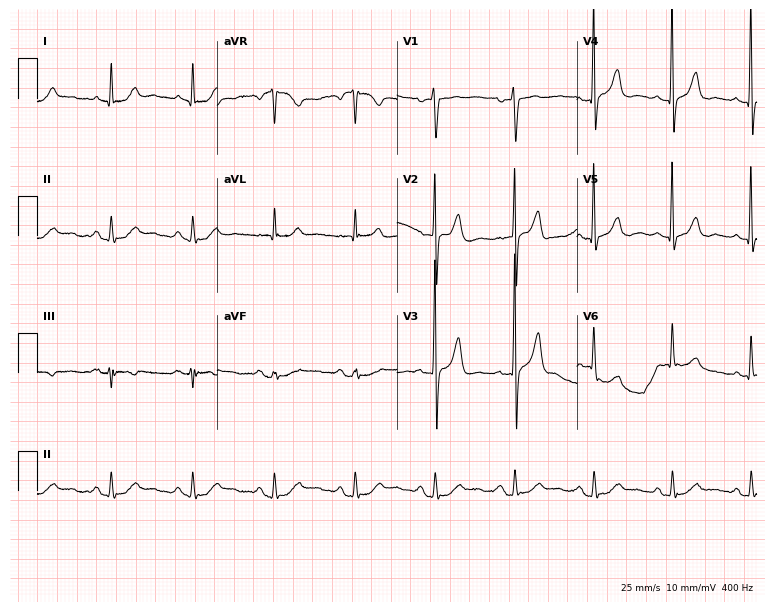
12-lead ECG from an 81-year-old male patient (7.3-second recording at 400 Hz). Recorded interpretation: within normal limits.